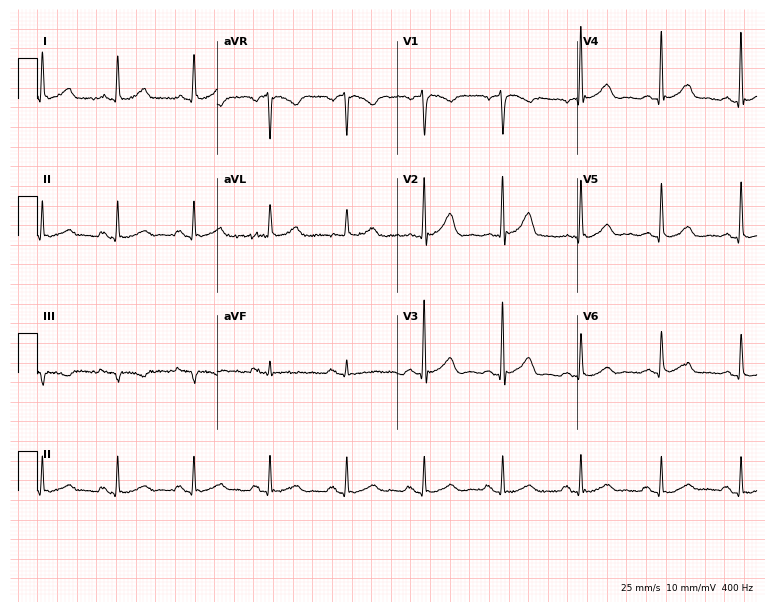
Electrocardiogram (7.3-second recording at 400 Hz), a man, 58 years old. Overall reading on record: normal ECG.